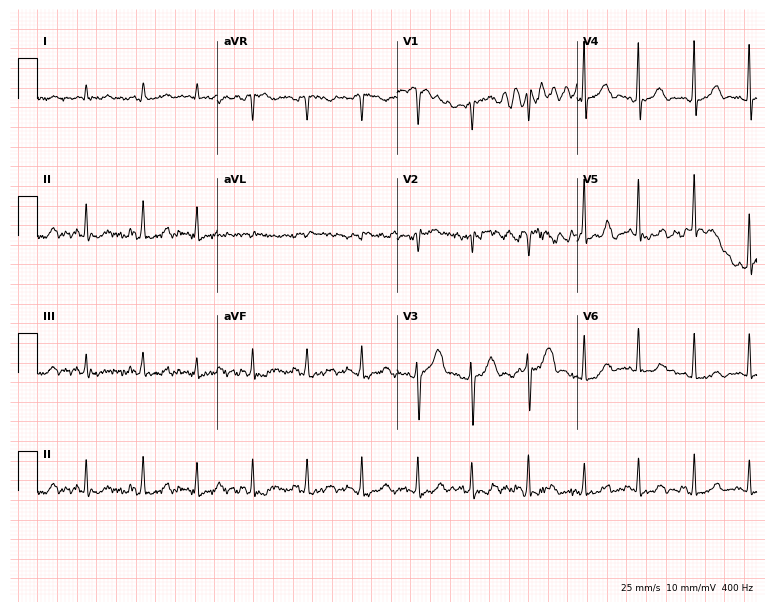
Standard 12-lead ECG recorded from a 63-year-old male. None of these six findings is recorded: first-degree AV block, right bundle branch block, left bundle branch block, sinus bradycardia, atrial fibrillation, sinus tachycardia.